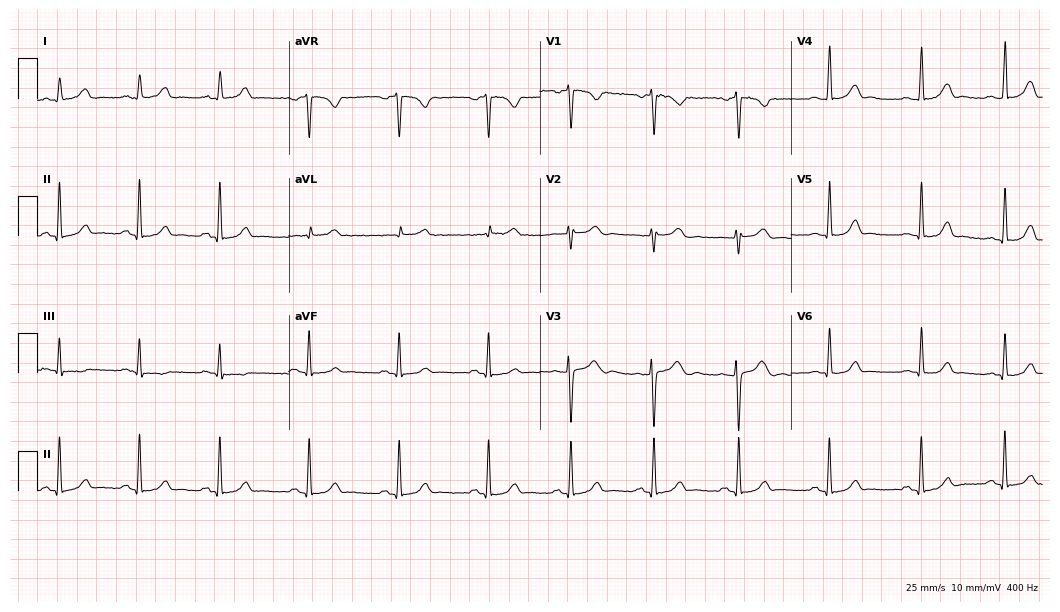
12-lead ECG from a 21-year-old woman. Labelled as a normal ECG.